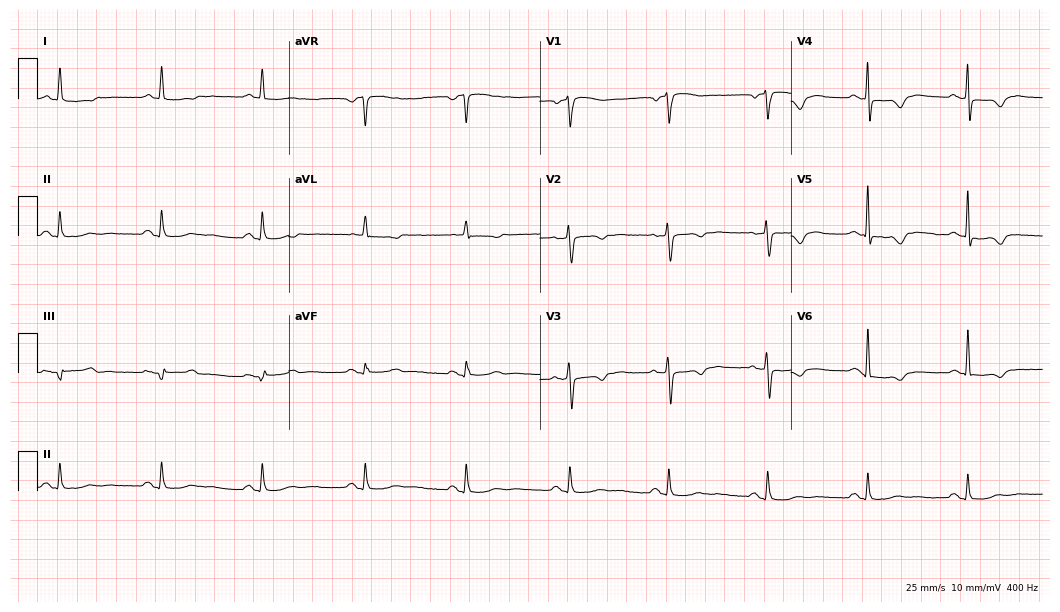
Electrocardiogram (10.2-second recording at 400 Hz), a woman, 74 years old. Of the six screened findings (first-degree AV block, right bundle branch block, left bundle branch block, sinus bradycardia, atrial fibrillation, sinus tachycardia), none is recorded.